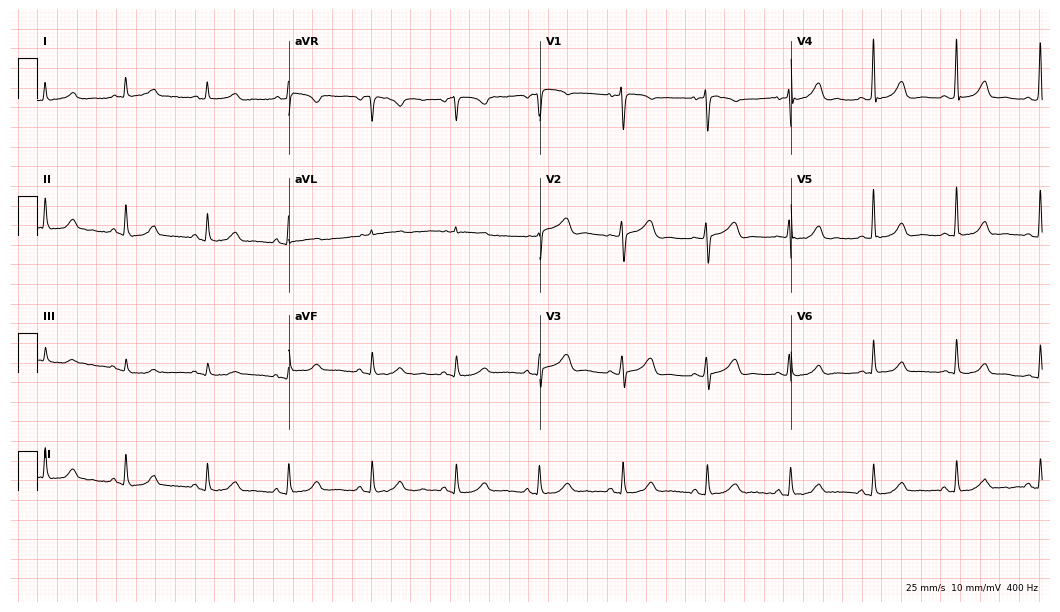
12-lead ECG (10.2-second recording at 400 Hz) from a 68-year-old woman. Labelled as a normal ECG.